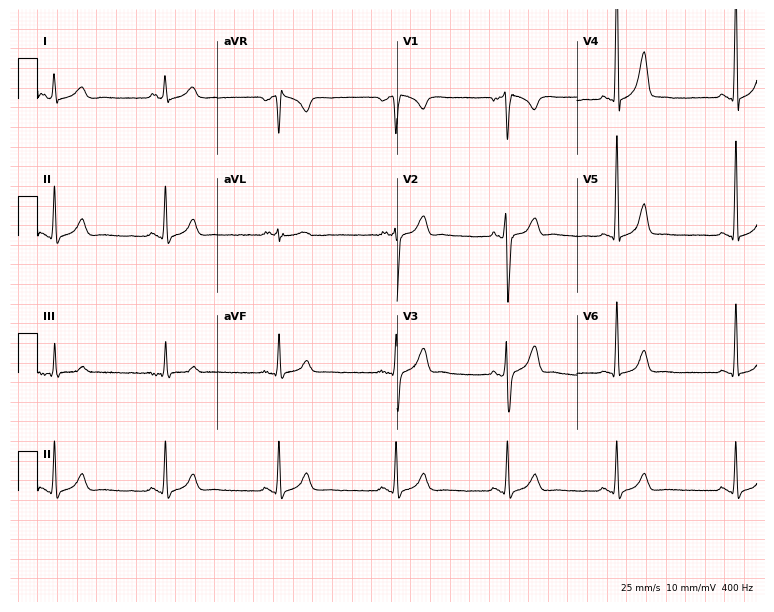
Electrocardiogram (7.3-second recording at 400 Hz), a 27-year-old male patient. Overall reading on record: normal ECG.